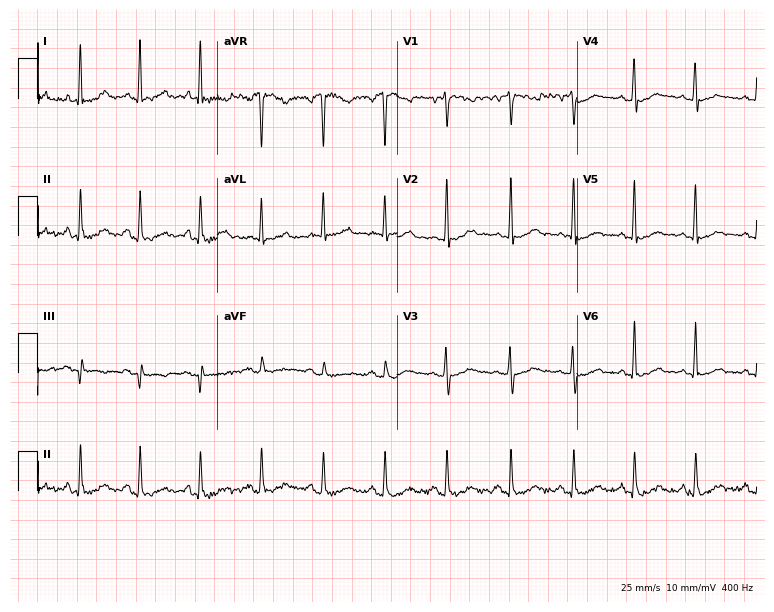
Resting 12-lead electrocardiogram. Patient: a 57-year-old female. Read as a normal ECG.